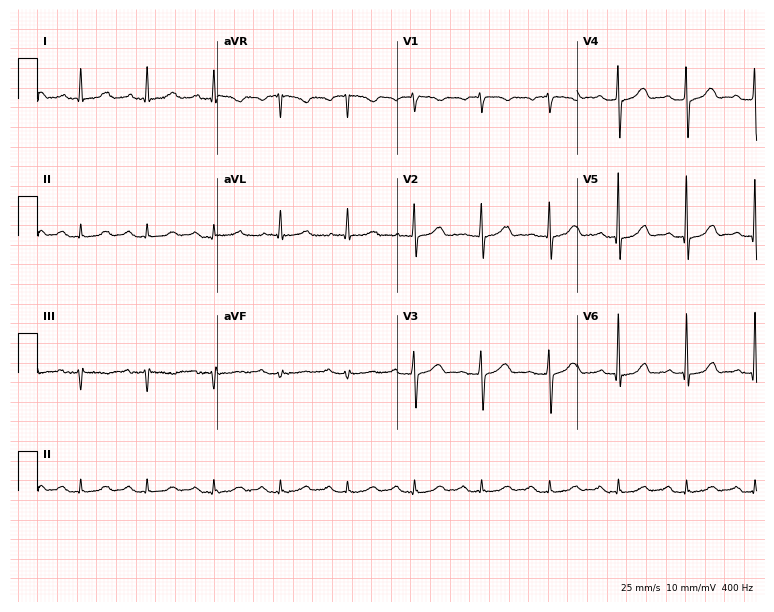
12-lead ECG (7.3-second recording at 400 Hz) from a 75-year-old woman. Labelled as a normal ECG.